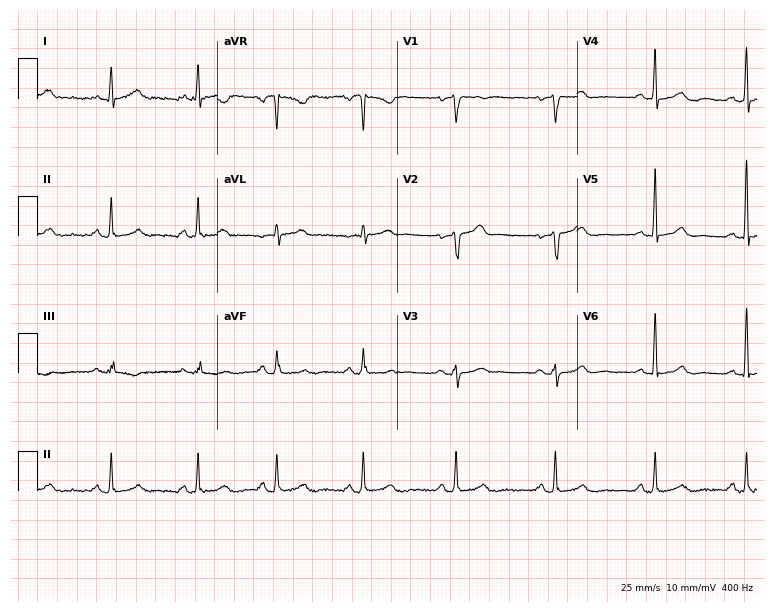
Electrocardiogram, a 41-year-old female patient. Overall reading on record: normal ECG.